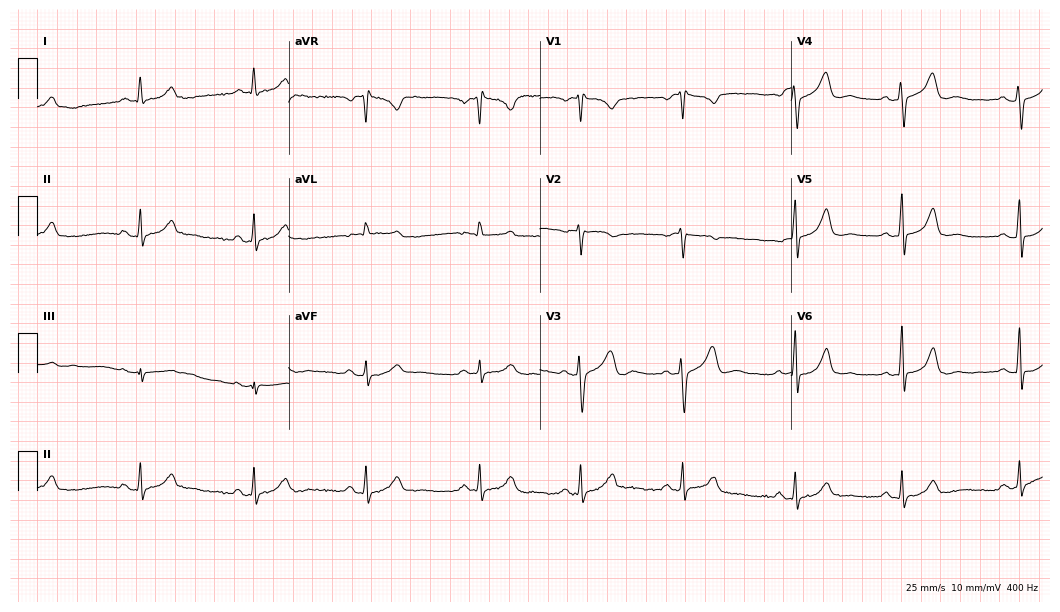
Resting 12-lead electrocardiogram. Patient: a 40-year-old woman. Read as a normal ECG.